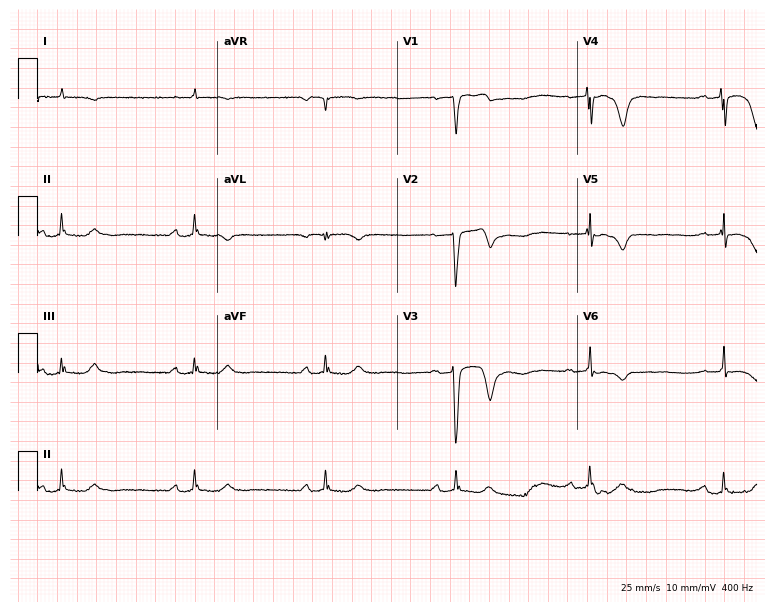
Electrocardiogram, a 77-year-old male. Interpretation includes sinus bradycardia (a sinus rate of 50 beats per minute or less).